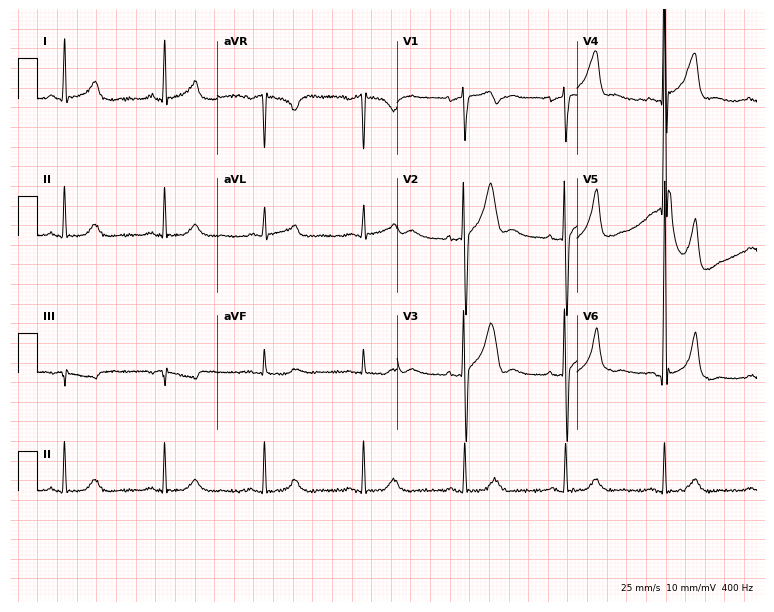
Electrocardiogram (7.3-second recording at 400 Hz), a male patient, 76 years old. Overall reading on record: normal ECG.